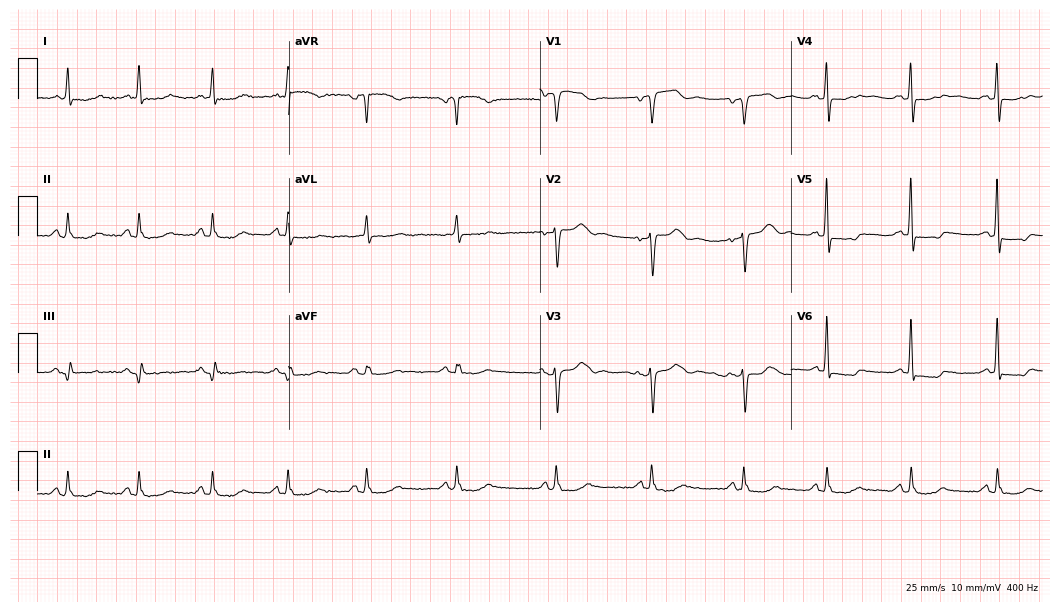
Electrocardiogram (10.2-second recording at 400 Hz), a female patient, 85 years old. Of the six screened findings (first-degree AV block, right bundle branch block (RBBB), left bundle branch block (LBBB), sinus bradycardia, atrial fibrillation (AF), sinus tachycardia), none is recorded. Findings outside these six are not listed.